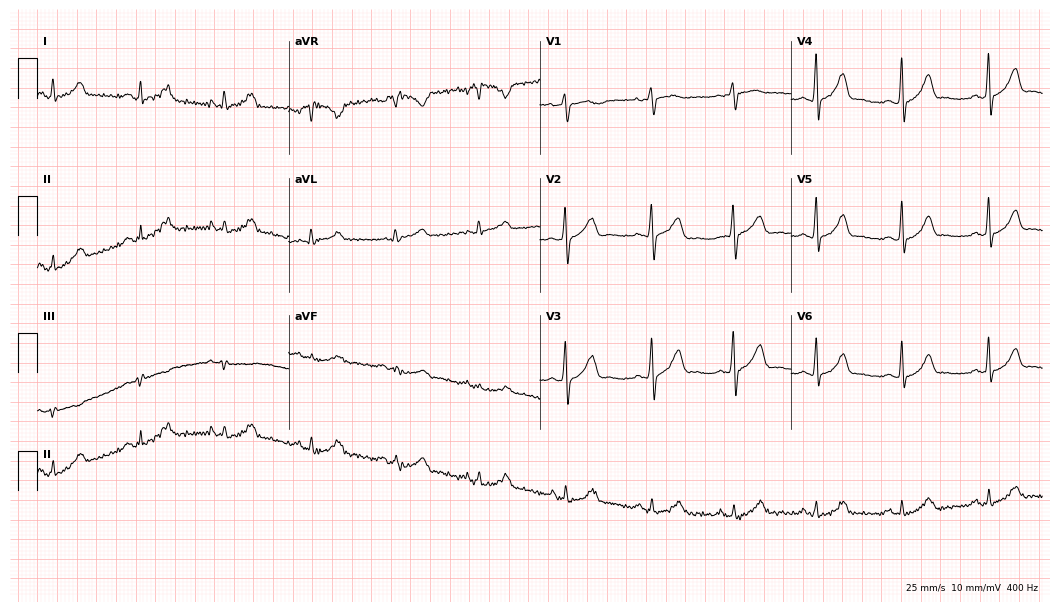
12-lead ECG from a woman, 24 years old. Labelled as a normal ECG.